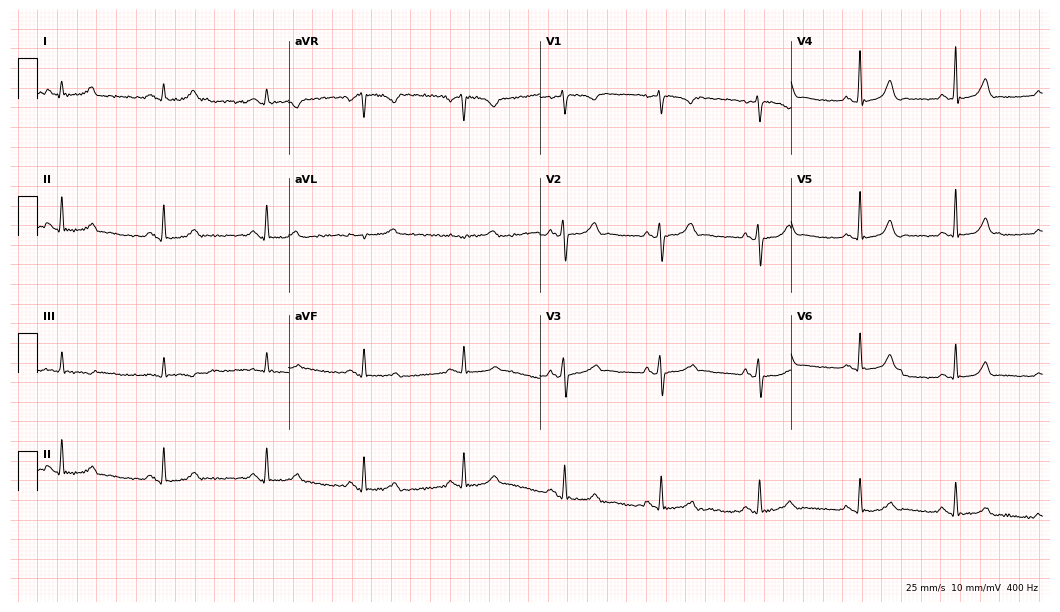
Resting 12-lead electrocardiogram (10.2-second recording at 400 Hz). Patient: a 31-year-old female. Read as a normal ECG.